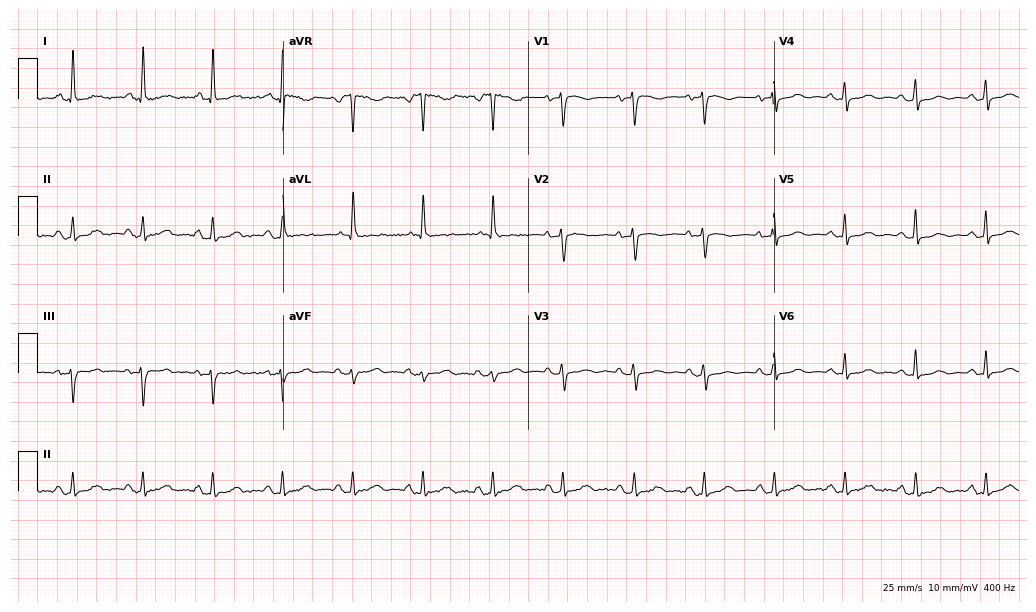
Standard 12-lead ECG recorded from a woman, 82 years old. None of these six findings is recorded: first-degree AV block, right bundle branch block (RBBB), left bundle branch block (LBBB), sinus bradycardia, atrial fibrillation (AF), sinus tachycardia. Findings outside these six are not listed.